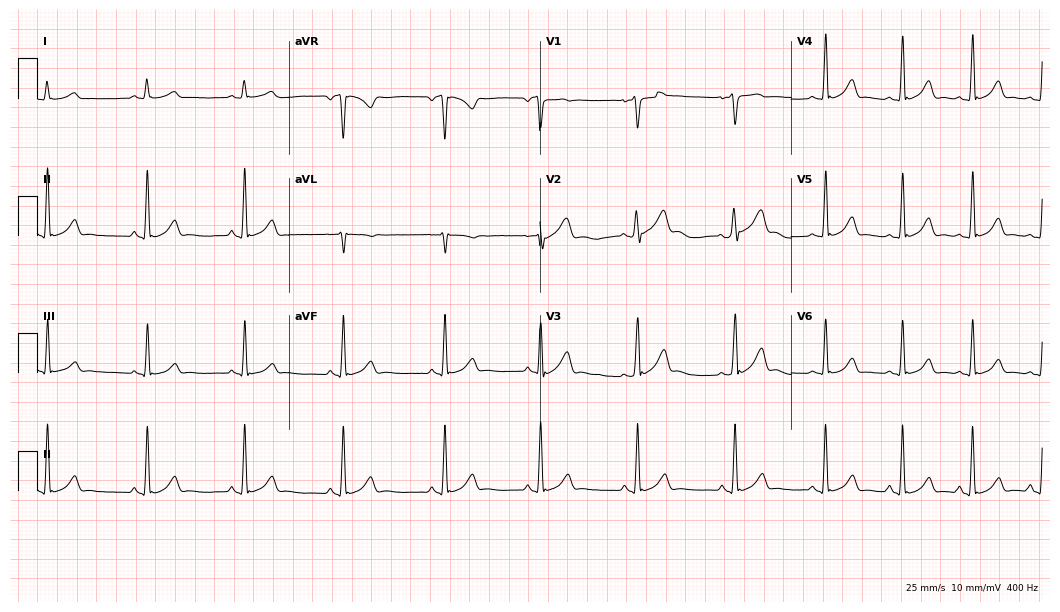
12-lead ECG from a male patient, 18 years old. Labelled as a normal ECG.